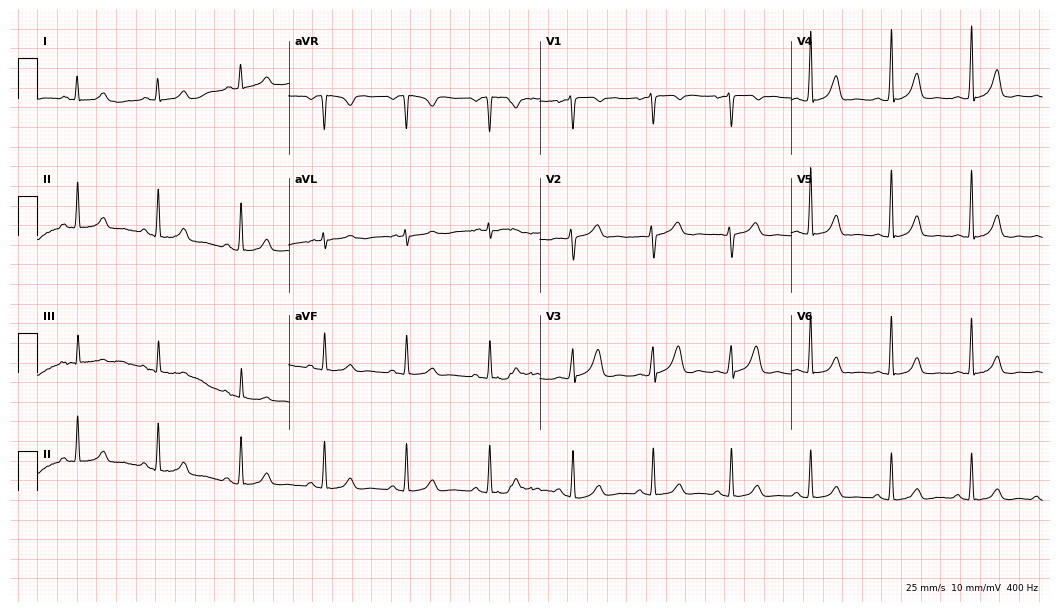
Standard 12-lead ECG recorded from a 19-year-old female patient. None of these six findings is recorded: first-degree AV block, right bundle branch block (RBBB), left bundle branch block (LBBB), sinus bradycardia, atrial fibrillation (AF), sinus tachycardia.